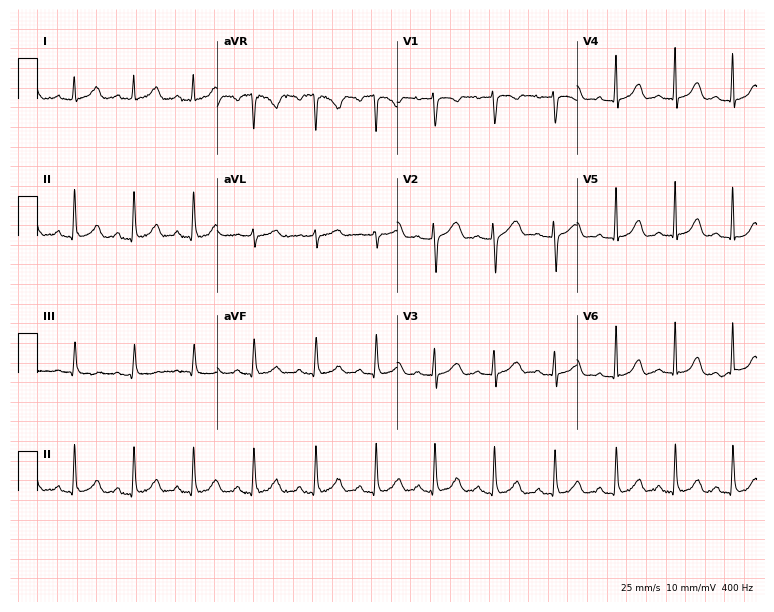
12-lead ECG from a female patient, 31 years old. No first-degree AV block, right bundle branch block (RBBB), left bundle branch block (LBBB), sinus bradycardia, atrial fibrillation (AF) or sinus tachycardia recorded for this tracing. Other findings, if any, are not listed.